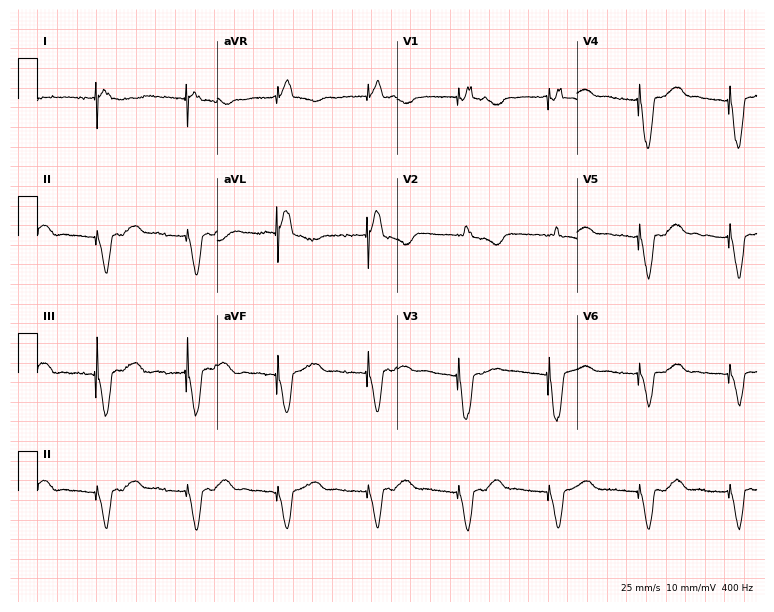
Resting 12-lead electrocardiogram. Patient: a woman, 84 years old. None of these six findings is recorded: first-degree AV block, right bundle branch block, left bundle branch block, sinus bradycardia, atrial fibrillation, sinus tachycardia. Findings outside these six are not listed.